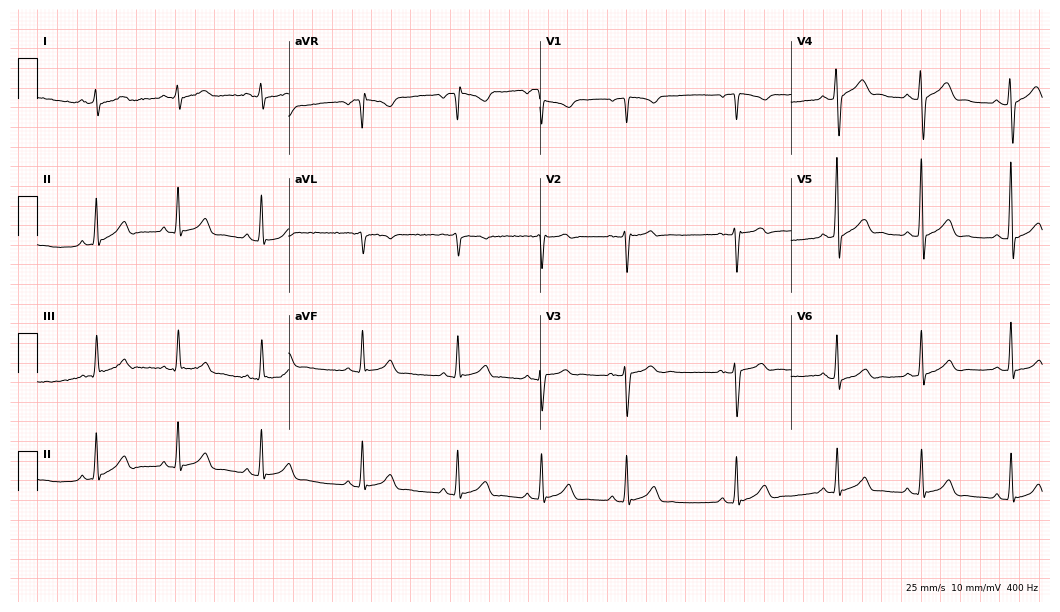
Electrocardiogram (10.2-second recording at 400 Hz), a male patient, 30 years old. Overall reading on record: normal ECG.